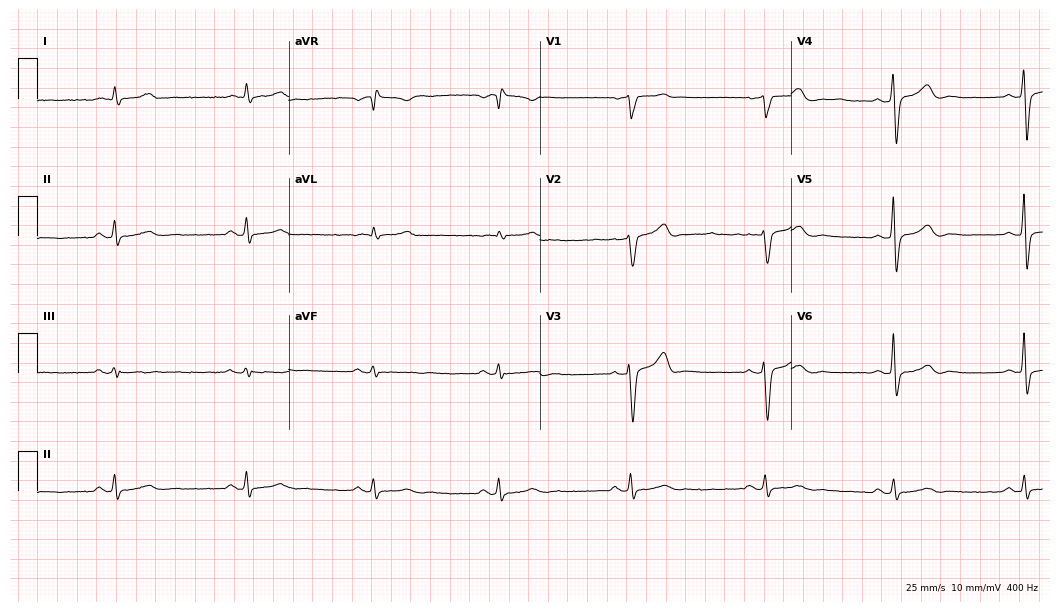
Standard 12-lead ECG recorded from a man, 57 years old (10.2-second recording at 400 Hz). None of these six findings is recorded: first-degree AV block, right bundle branch block, left bundle branch block, sinus bradycardia, atrial fibrillation, sinus tachycardia. Only these six findings were labelled.